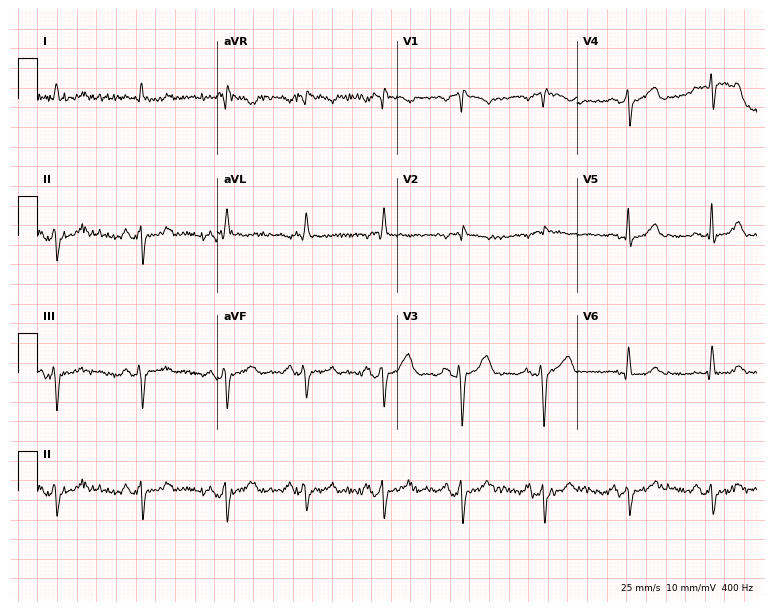
12-lead ECG from a male, 55 years old. No first-degree AV block, right bundle branch block, left bundle branch block, sinus bradycardia, atrial fibrillation or sinus tachycardia recorded for this tracing. Findings outside these six are not listed.